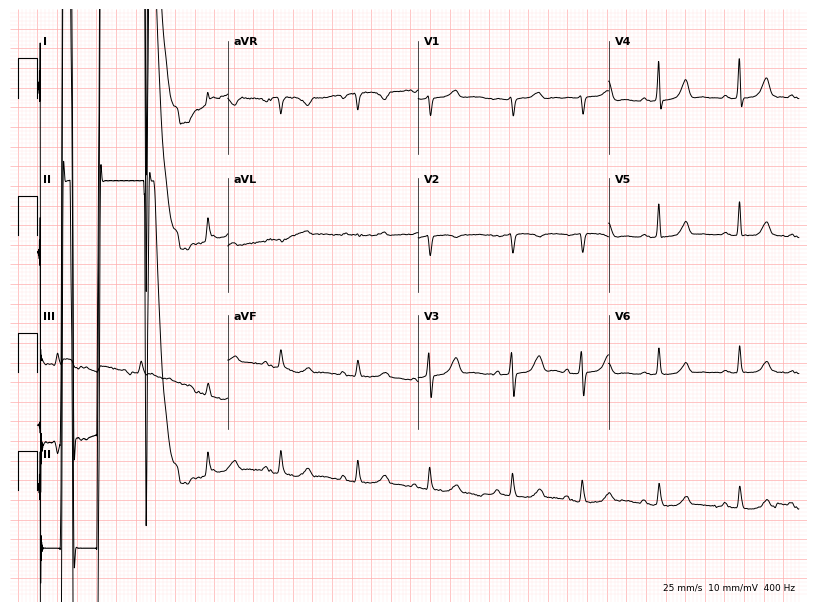
ECG (7.8-second recording at 400 Hz) — a 77-year-old man. Screened for six findings — first-degree AV block, right bundle branch block (RBBB), left bundle branch block (LBBB), sinus bradycardia, atrial fibrillation (AF), sinus tachycardia — none is recorded.